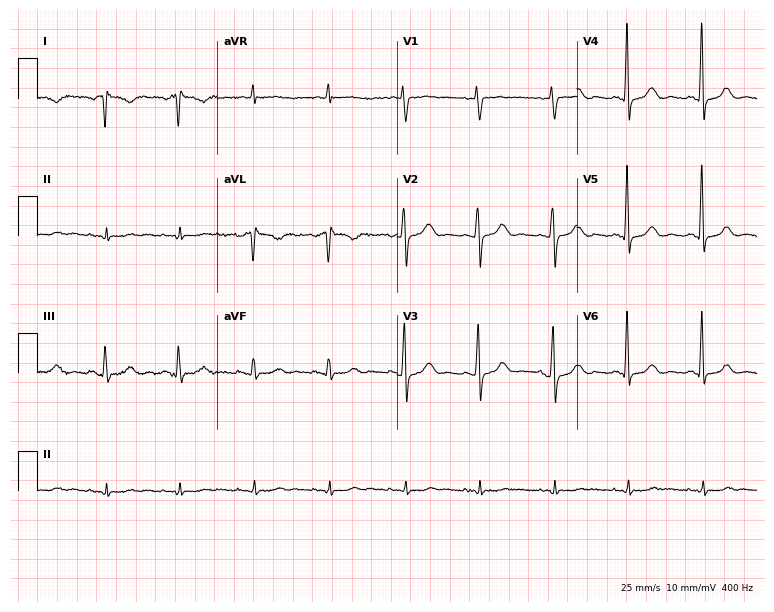
12-lead ECG from a woman, 51 years old (7.3-second recording at 400 Hz). No first-degree AV block, right bundle branch block, left bundle branch block, sinus bradycardia, atrial fibrillation or sinus tachycardia recorded for this tracing.